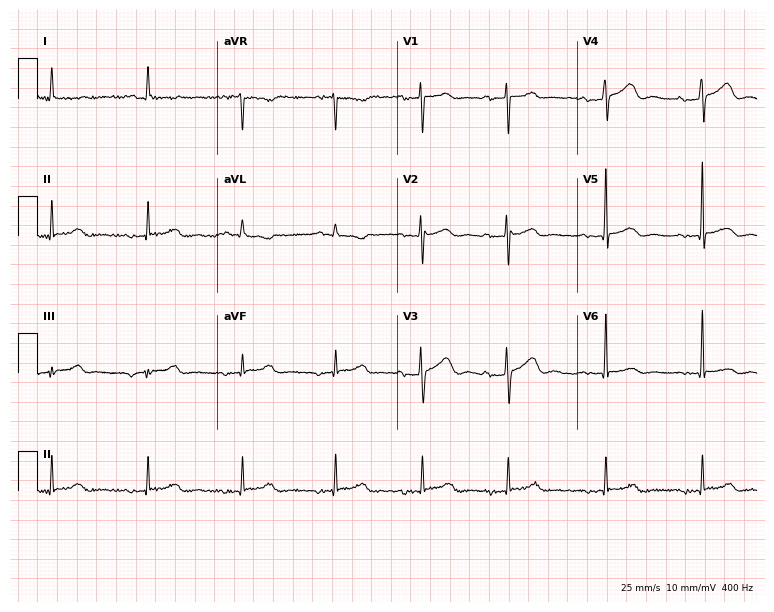
12-lead ECG (7.3-second recording at 400 Hz) from a woman, 61 years old. Screened for six findings — first-degree AV block, right bundle branch block, left bundle branch block, sinus bradycardia, atrial fibrillation, sinus tachycardia — none is recorded. Only these six findings were labelled.